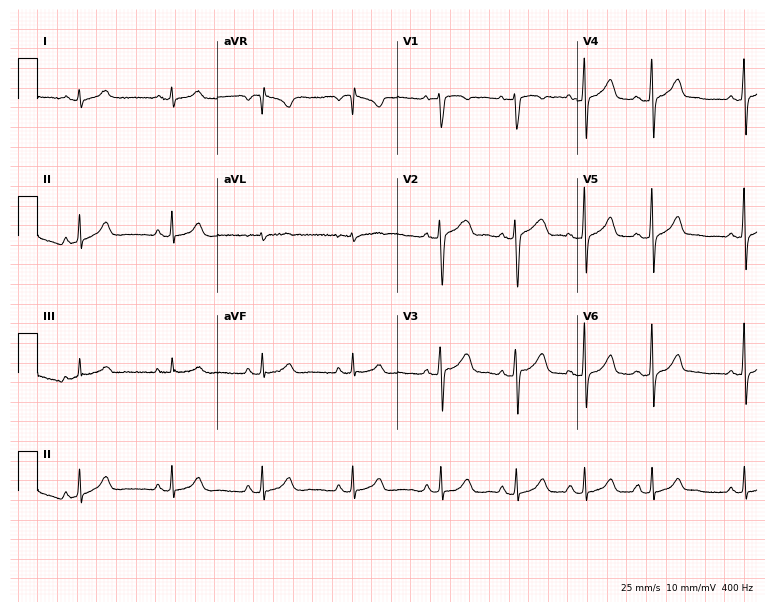
Resting 12-lead electrocardiogram (7.3-second recording at 400 Hz). Patient: a woman, 27 years old. None of these six findings is recorded: first-degree AV block, right bundle branch block (RBBB), left bundle branch block (LBBB), sinus bradycardia, atrial fibrillation (AF), sinus tachycardia.